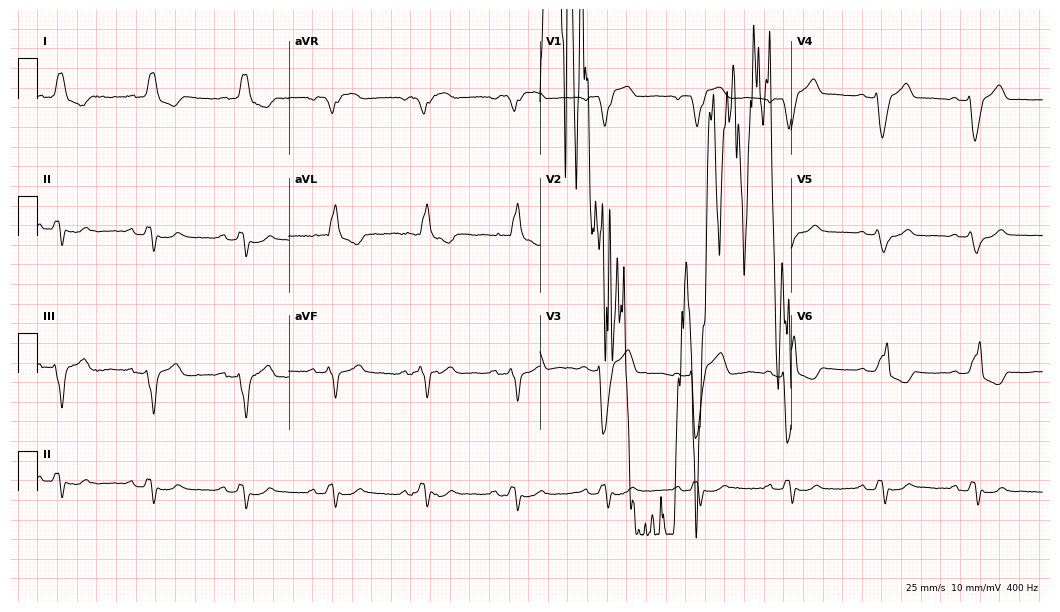
Electrocardiogram, a woman, 80 years old. Interpretation includes atrial fibrillation.